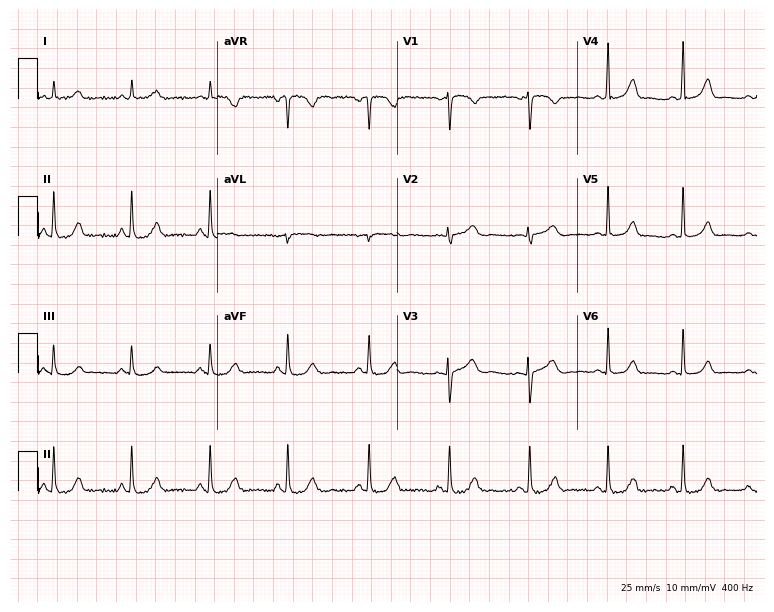
12-lead ECG from a female, 30 years old. Recorded interpretation: within normal limits.